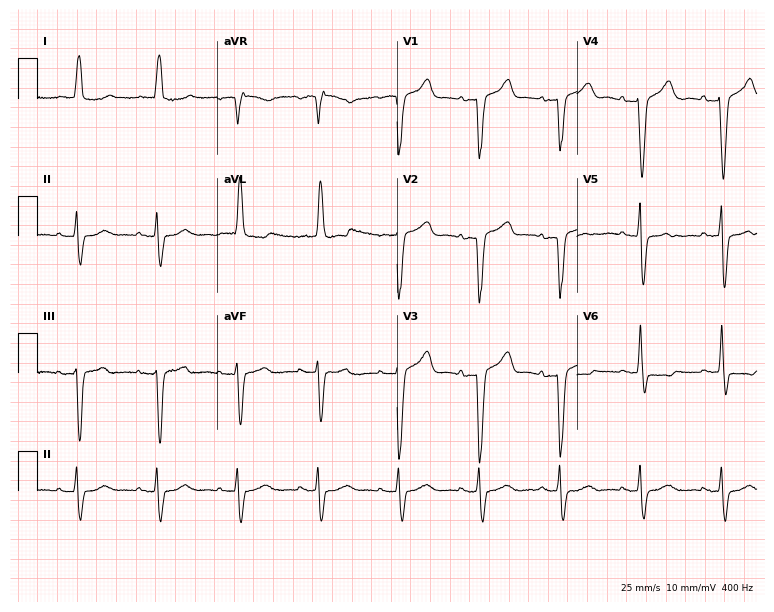
Standard 12-lead ECG recorded from a female patient, 78 years old. None of these six findings is recorded: first-degree AV block, right bundle branch block (RBBB), left bundle branch block (LBBB), sinus bradycardia, atrial fibrillation (AF), sinus tachycardia.